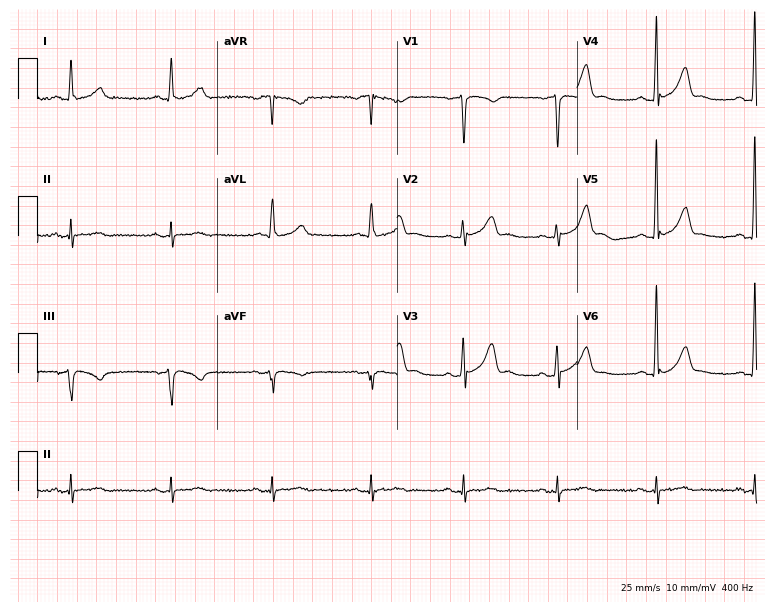
Resting 12-lead electrocardiogram. Patient: a 51-year-old male. Read as a normal ECG.